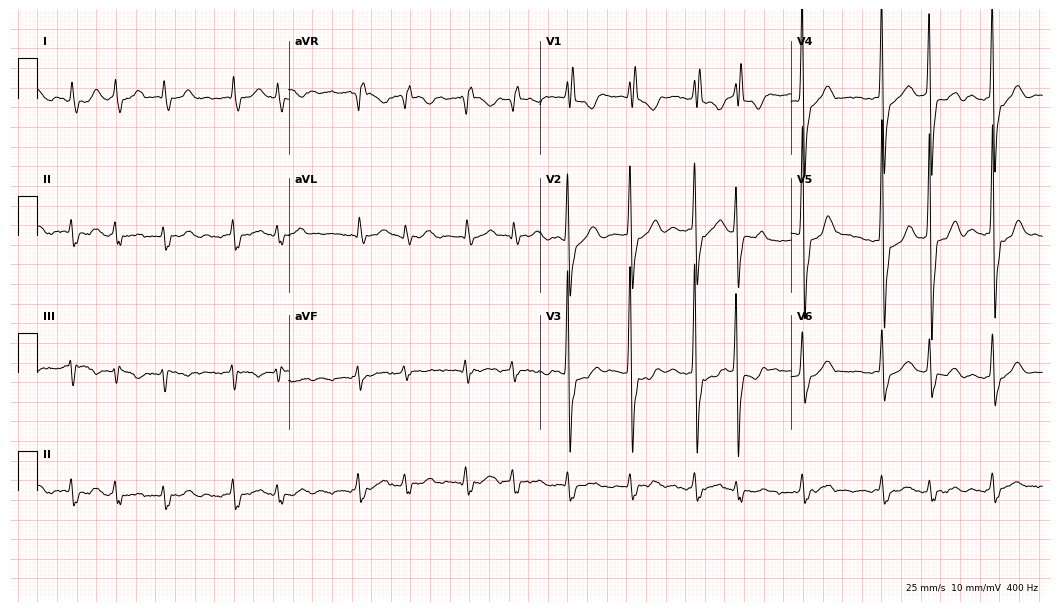
Electrocardiogram (10.2-second recording at 400 Hz), a female, 79 years old. Interpretation includes right bundle branch block, atrial fibrillation.